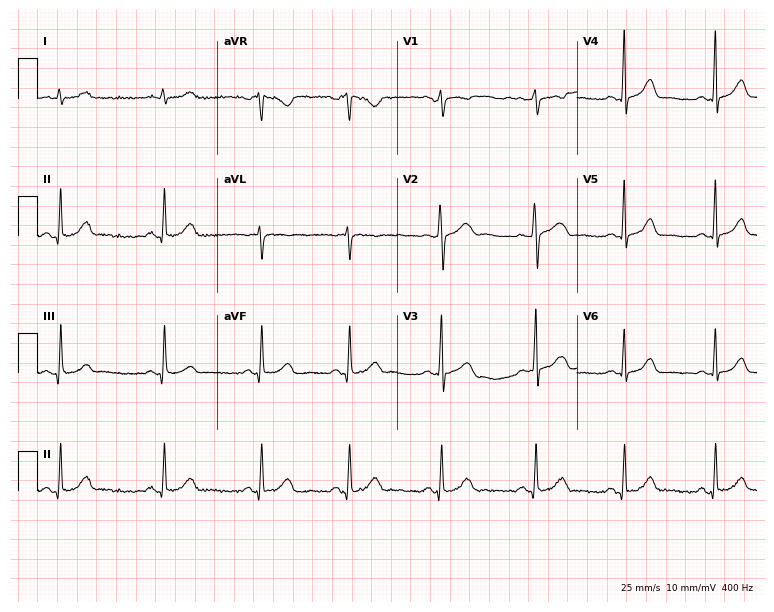
12-lead ECG from a female patient, 39 years old (7.3-second recording at 400 Hz). Recorded interpretation: within normal limits.